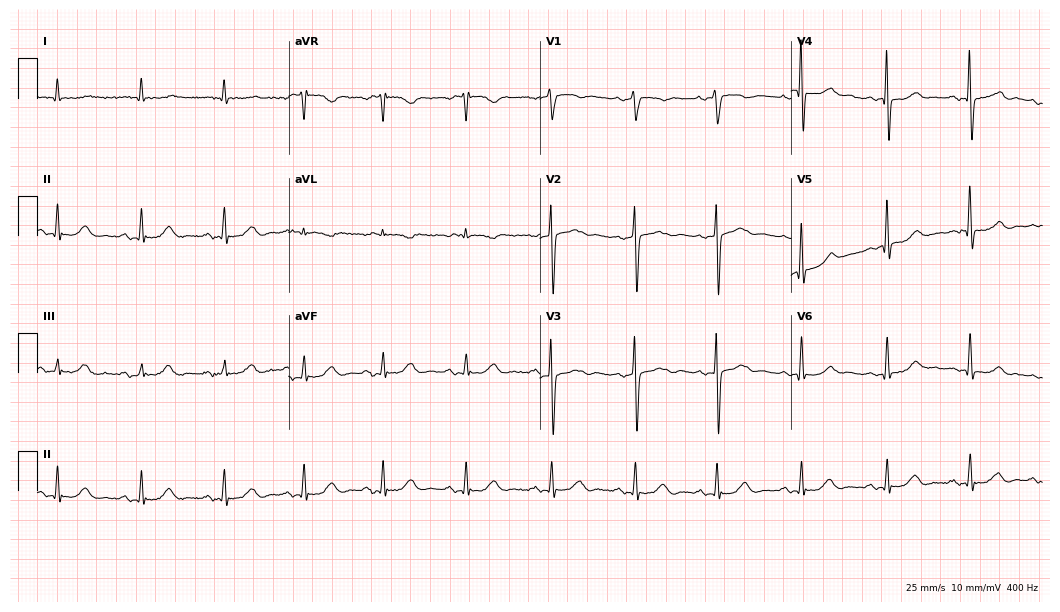
Standard 12-lead ECG recorded from a 72-year-old male. Read as a normal ECG.